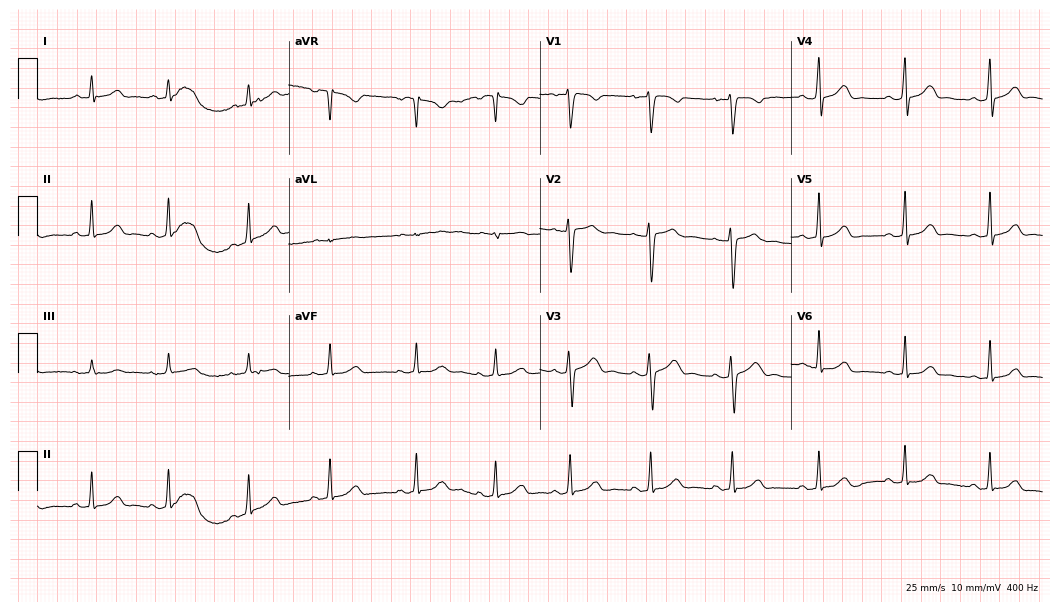
12-lead ECG (10.2-second recording at 400 Hz) from a female, 27 years old. Screened for six findings — first-degree AV block, right bundle branch block (RBBB), left bundle branch block (LBBB), sinus bradycardia, atrial fibrillation (AF), sinus tachycardia — none is recorded.